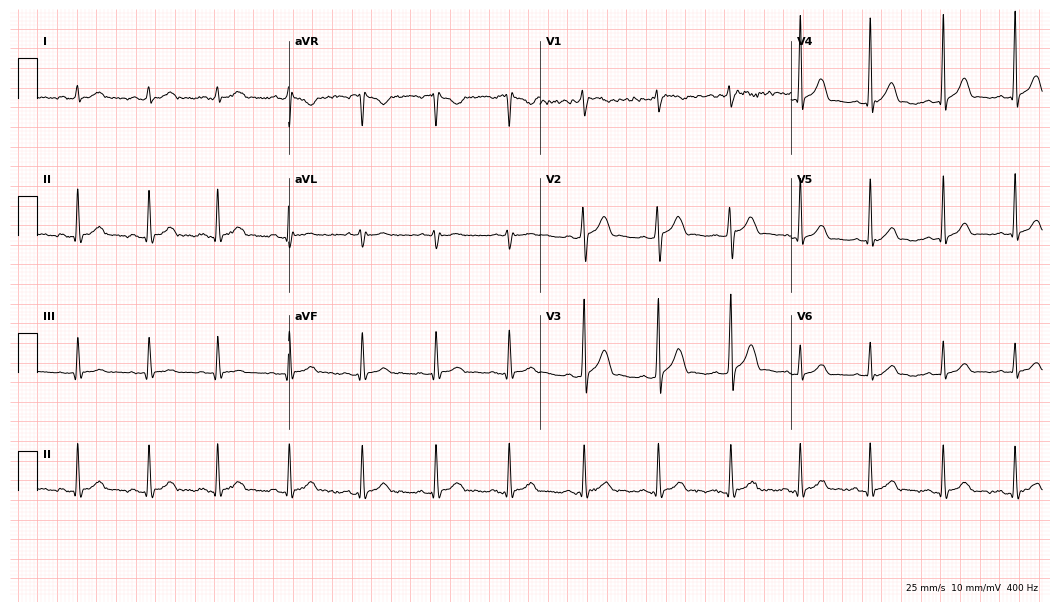
Electrocardiogram (10.2-second recording at 400 Hz), a 17-year-old man. Of the six screened findings (first-degree AV block, right bundle branch block, left bundle branch block, sinus bradycardia, atrial fibrillation, sinus tachycardia), none is recorded. Other findings, if any, are not listed.